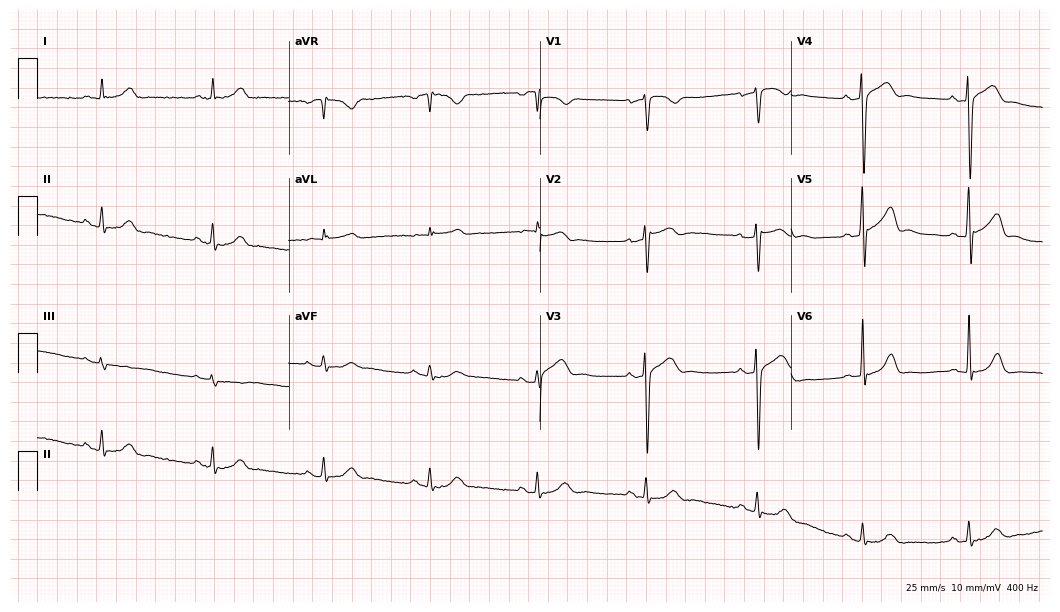
Resting 12-lead electrocardiogram (10.2-second recording at 400 Hz). Patient: a woman, 60 years old. Read as a normal ECG.